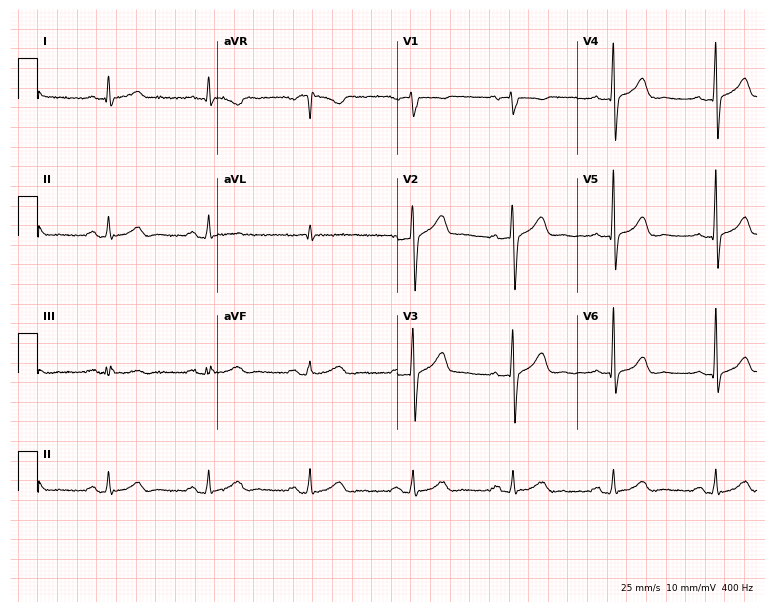
12-lead ECG from a male patient, 51 years old. Screened for six findings — first-degree AV block, right bundle branch block, left bundle branch block, sinus bradycardia, atrial fibrillation, sinus tachycardia — none is recorded. Other findings, if any, are not listed.